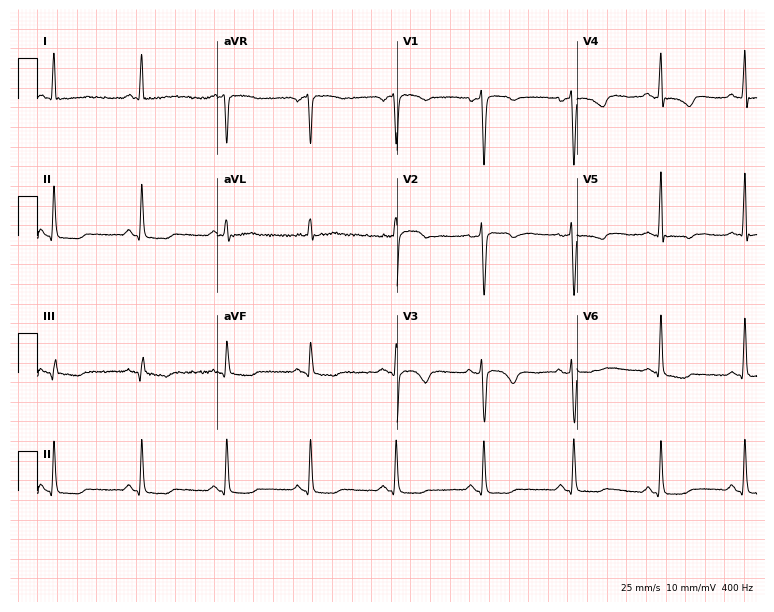
Electrocardiogram (7.3-second recording at 400 Hz), a 49-year-old female patient. Overall reading on record: normal ECG.